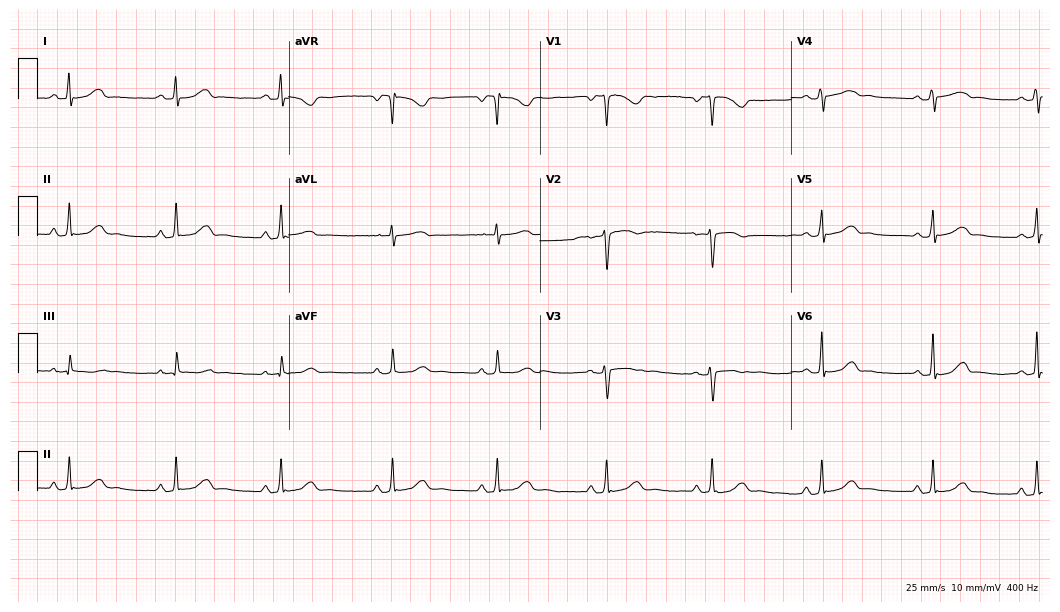
12-lead ECG from a female, 24 years old. Labelled as a normal ECG.